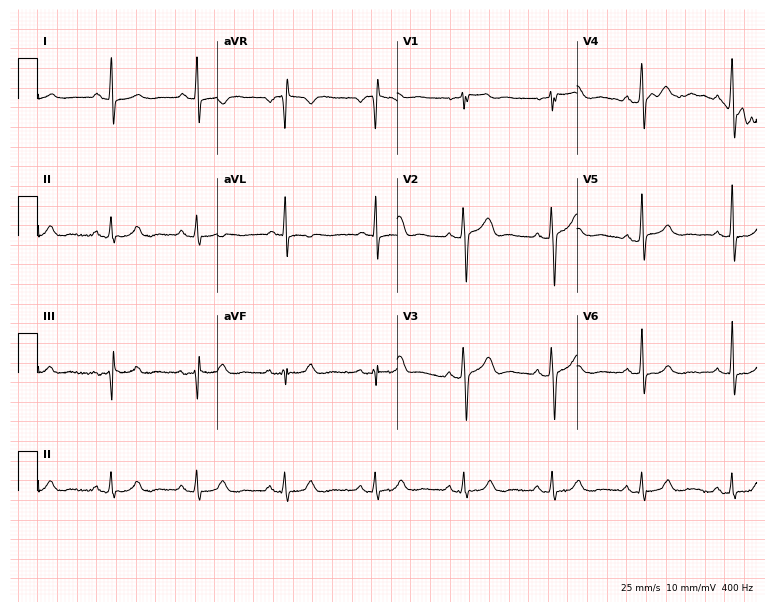
12-lead ECG from a 36-year-old man. Screened for six findings — first-degree AV block, right bundle branch block, left bundle branch block, sinus bradycardia, atrial fibrillation, sinus tachycardia — none is recorded.